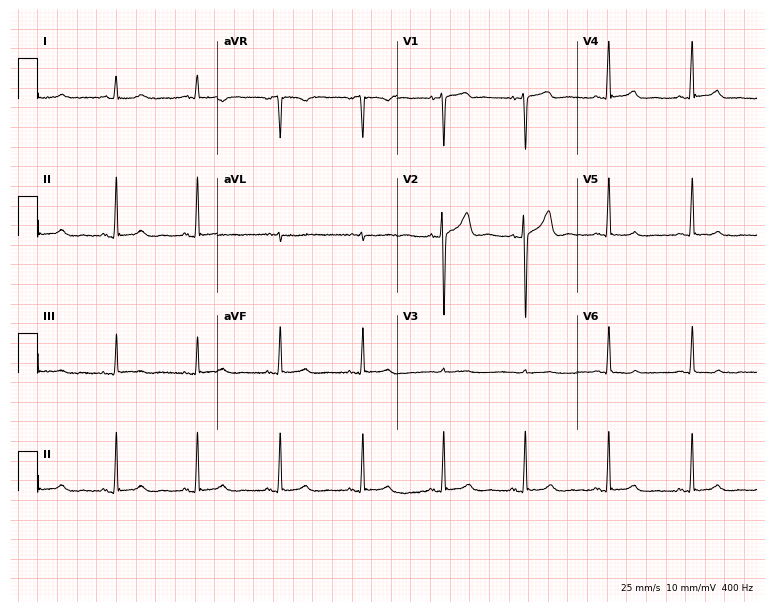
Resting 12-lead electrocardiogram (7.3-second recording at 400 Hz). Patient: a 62-year-old female. Read as a normal ECG.